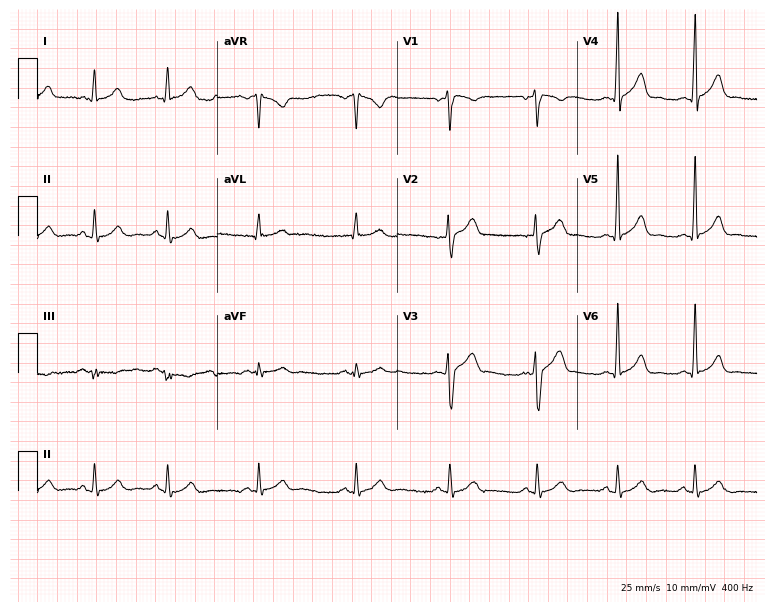
Resting 12-lead electrocardiogram. Patient: a man, 25 years old. Read as a normal ECG.